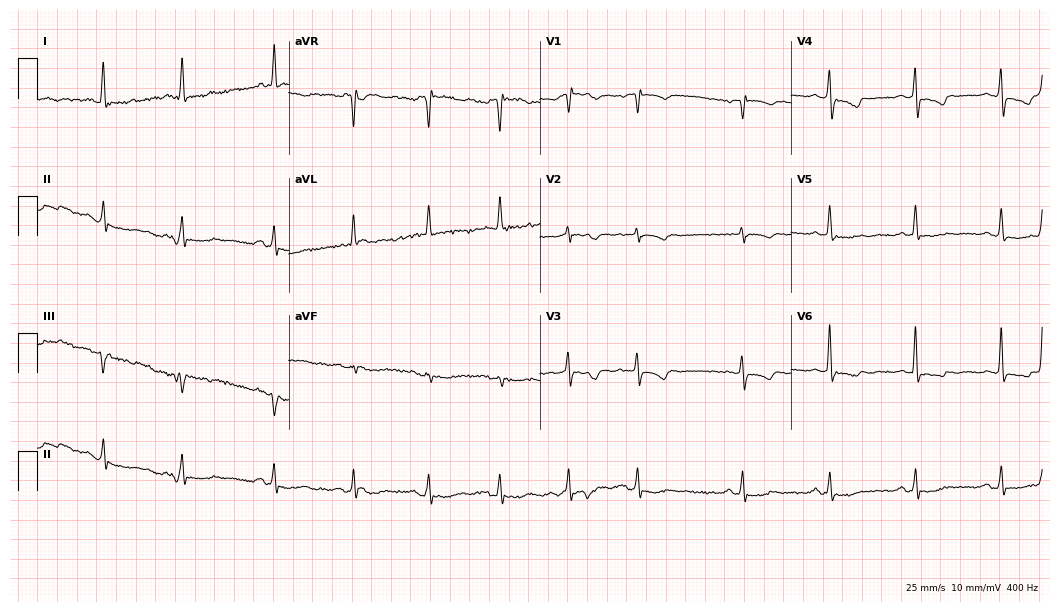
12-lead ECG from a woman, 71 years old. No first-degree AV block, right bundle branch block (RBBB), left bundle branch block (LBBB), sinus bradycardia, atrial fibrillation (AF) or sinus tachycardia recorded for this tracing.